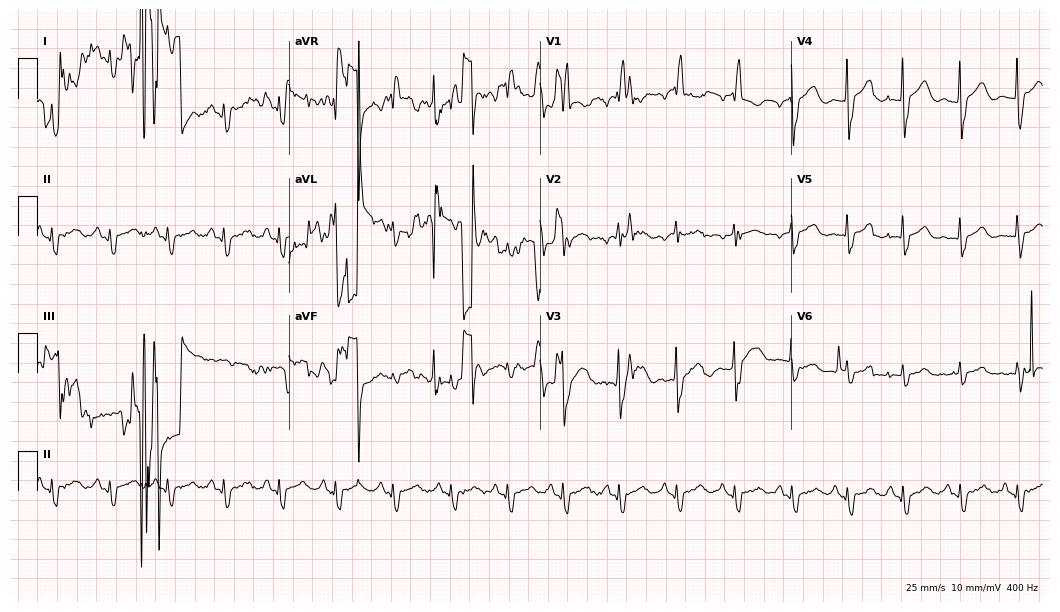
12-lead ECG from a female, 72 years old (10.2-second recording at 400 Hz). No first-degree AV block, right bundle branch block, left bundle branch block, sinus bradycardia, atrial fibrillation or sinus tachycardia recorded for this tracing. Other findings, if any, are not listed.